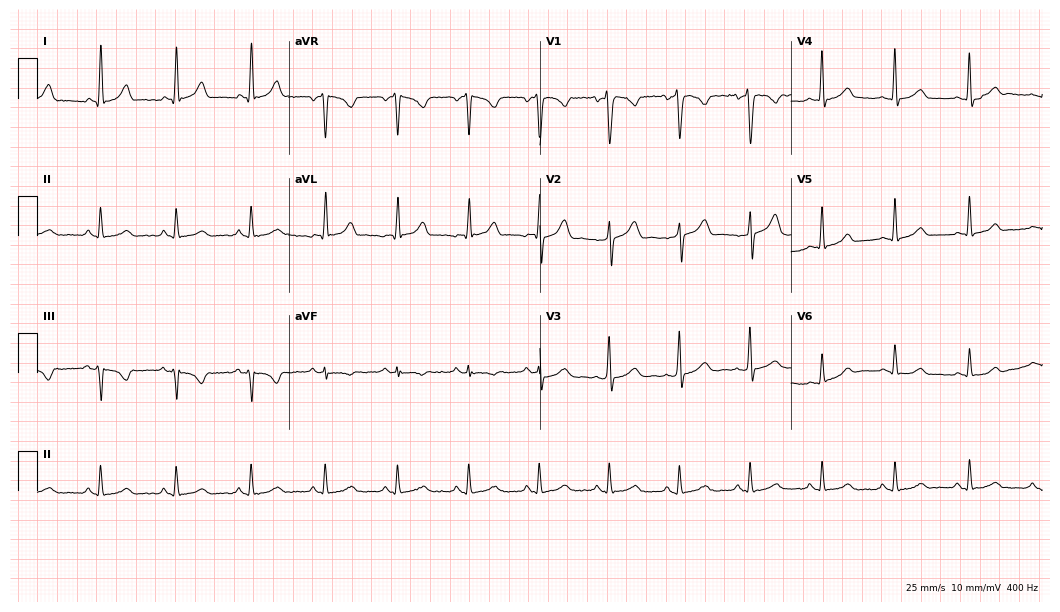
12-lead ECG from a male patient, 33 years old. Recorded interpretation: within normal limits.